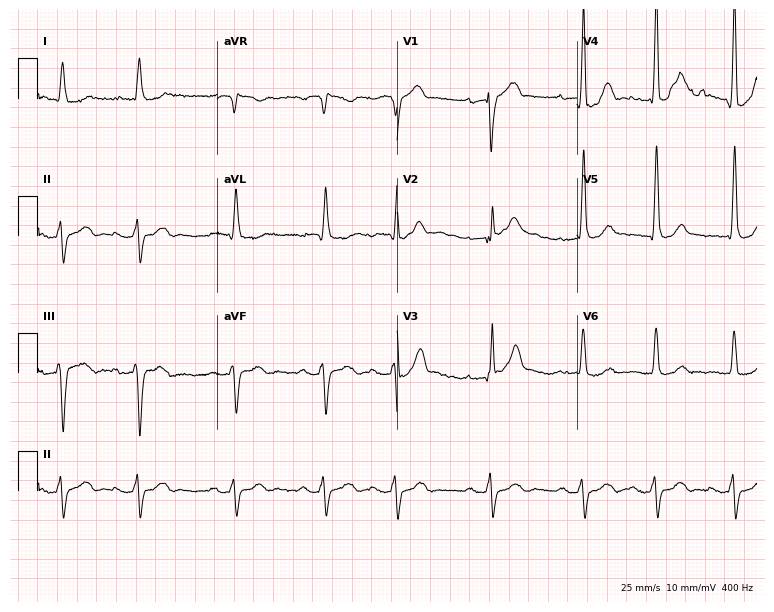
Standard 12-lead ECG recorded from an 84-year-old male. None of these six findings is recorded: first-degree AV block, right bundle branch block, left bundle branch block, sinus bradycardia, atrial fibrillation, sinus tachycardia.